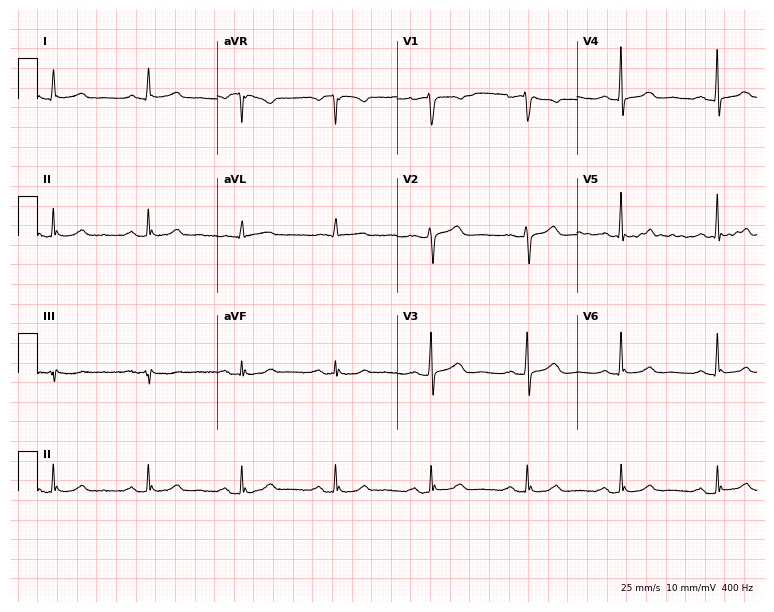
Standard 12-lead ECG recorded from a 59-year-old woman. None of these six findings is recorded: first-degree AV block, right bundle branch block, left bundle branch block, sinus bradycardia, atrial fibrillation, sinus tachycardia.